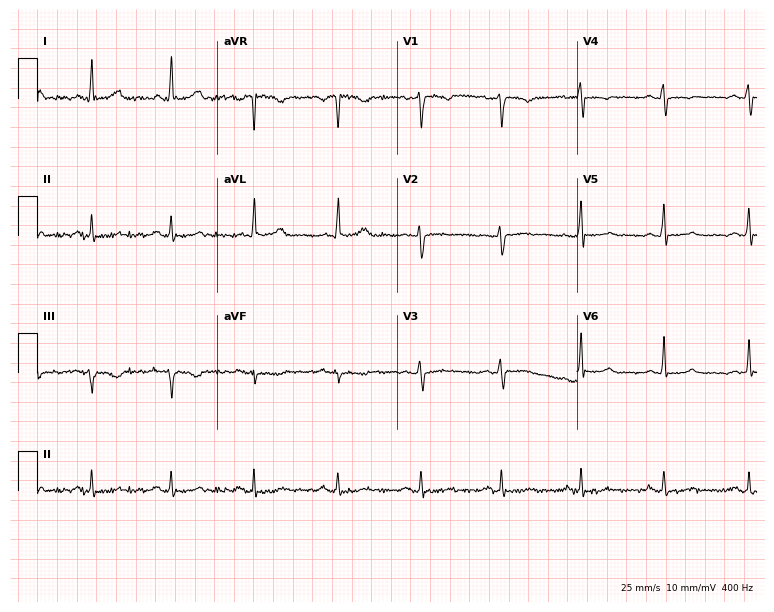
Electrocardiogram, a woman, 44 years old. Of the six screened findings (first-degree AV block, right bundle branch block (RBBB), left bundle branch block (LBBB), sinus bradycardia, atrial fibrillation (AF), sinus tachycardia), none is recorded. Findings outside these six are not listed.